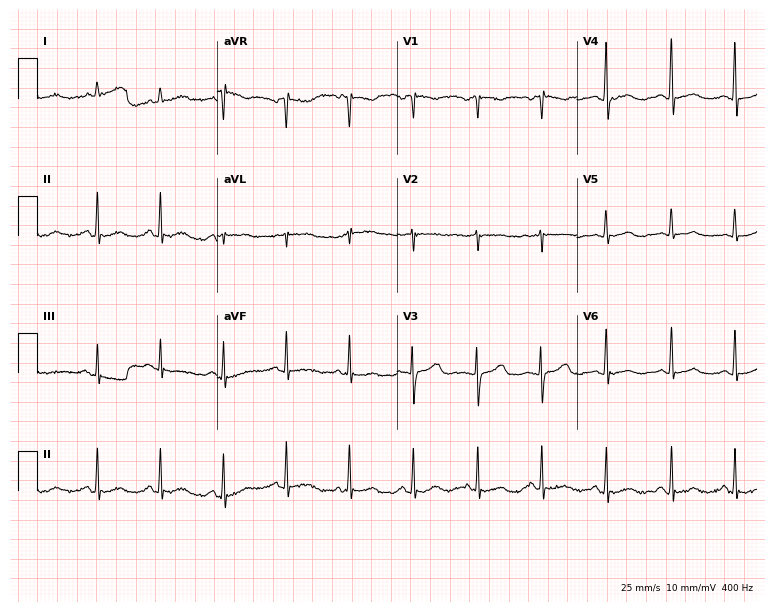
12-lead ECG from a 69-year-old woman. Recorded interpretation: within normal limits.